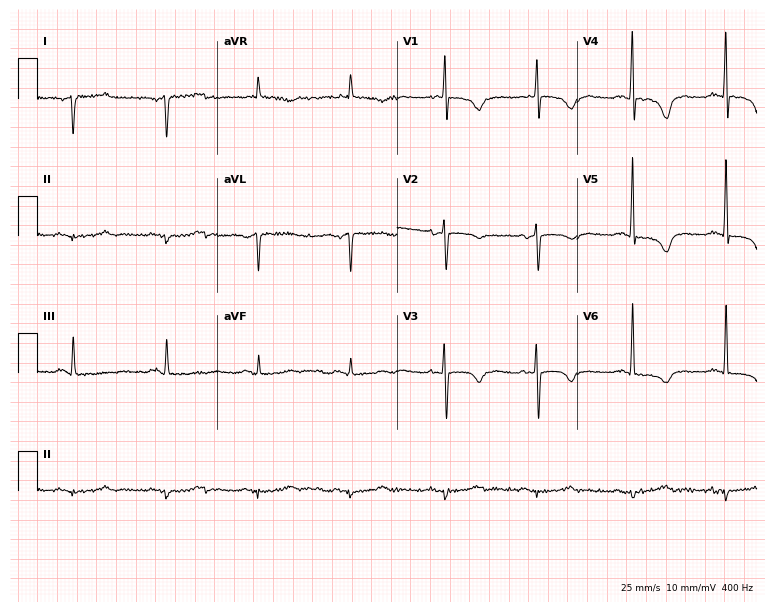
12-lead ECG from a 77-year-old woman. No first-degree AV block, right bundle branch block (RBBB), left bundle branch block (LBBB), sinus bradycardia, atrial fibrillation (AF) or sinus tachycardia recorded for this tracing. Findings outside these six are not listed.